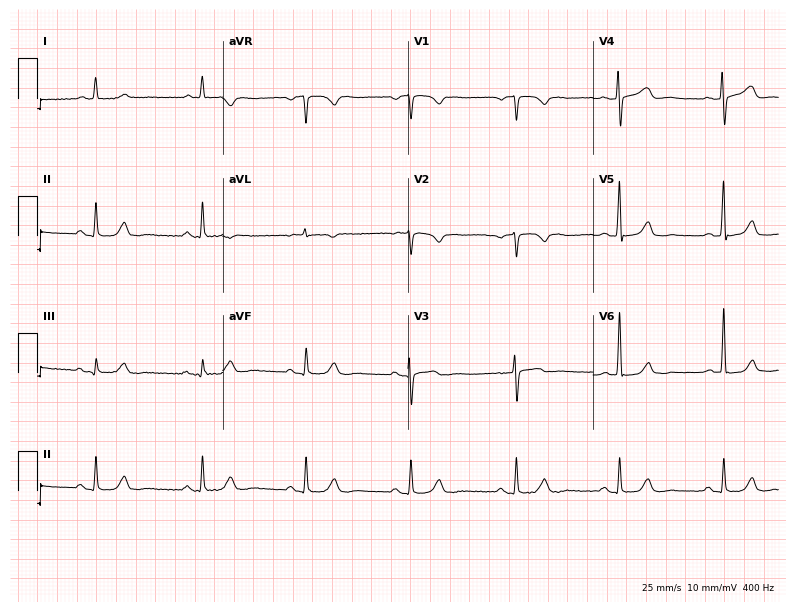
Standard 12-lead ECG recorded from an 85-year-old man (7.6-second recording at 400 Hz). Read as a normal ECG.